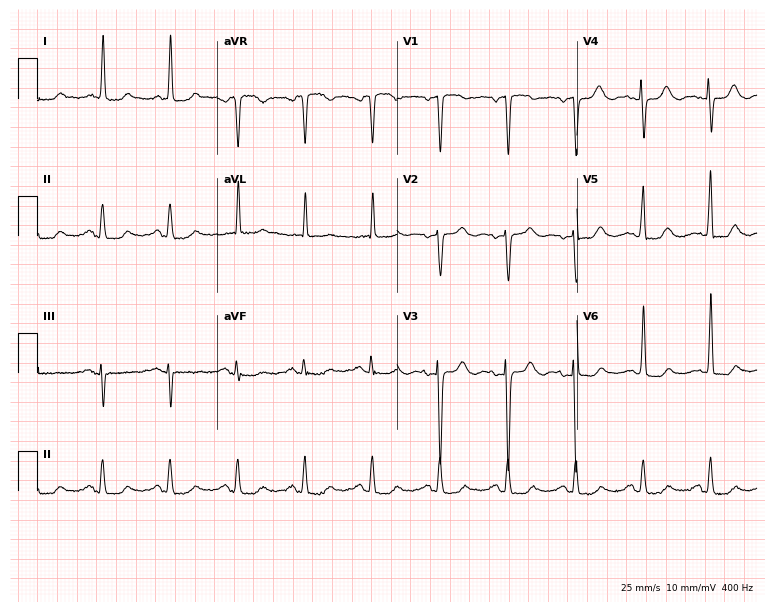
12-lead ECG (7.3-second recording at 400 Hz) from a 72-year-old female. Screened for six findings — first-degree AV block, right bundle branch block, left bundle branch block, sinus bradycardia, atrial fibrillation, sinus tachycardia — none is recorded.